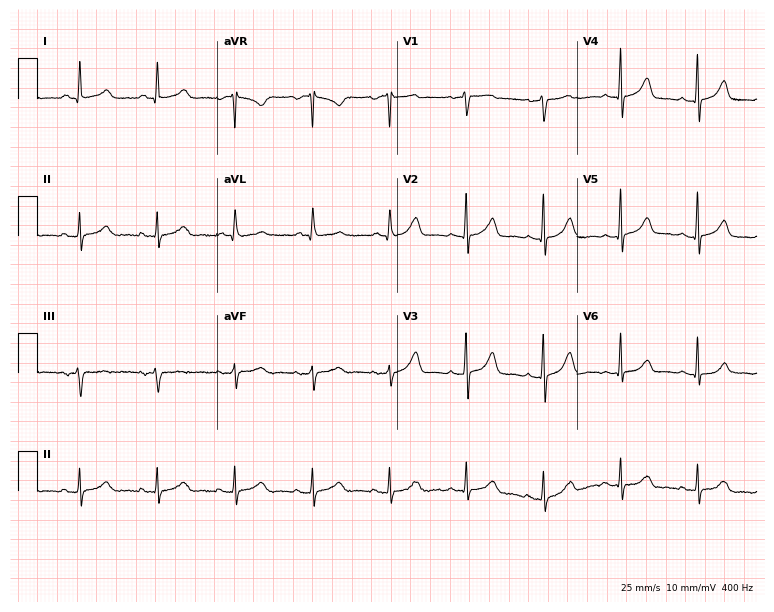
Resting 12-lead electrocardiogram. Patient: a female, 70 years old. Read as a normal ECG.